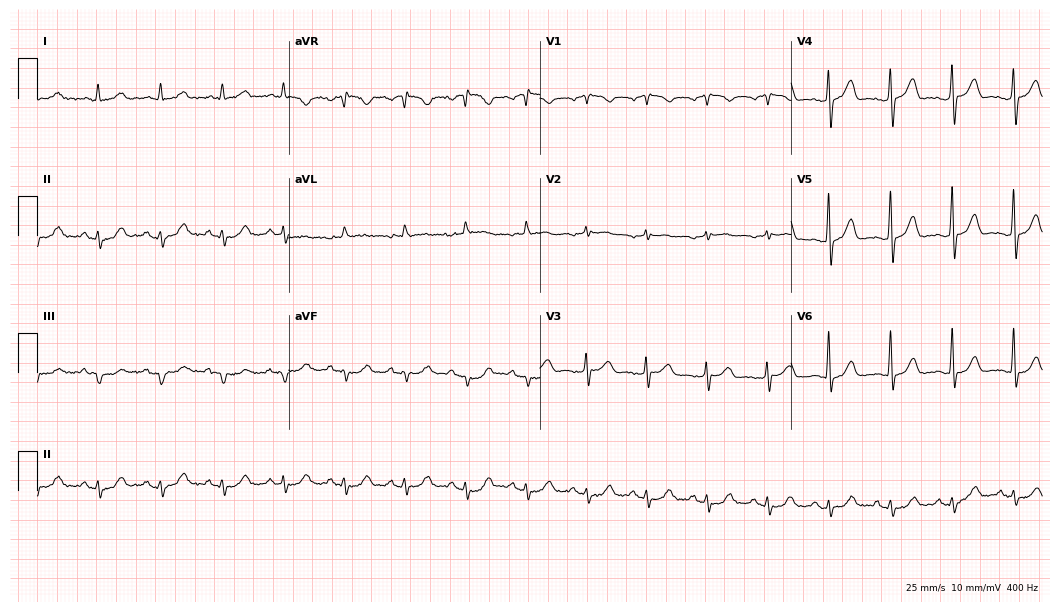
12-lead ECG (10.2-second recording at 400 Hz) from a male, 78 years old. Labelled as a normal ECG.